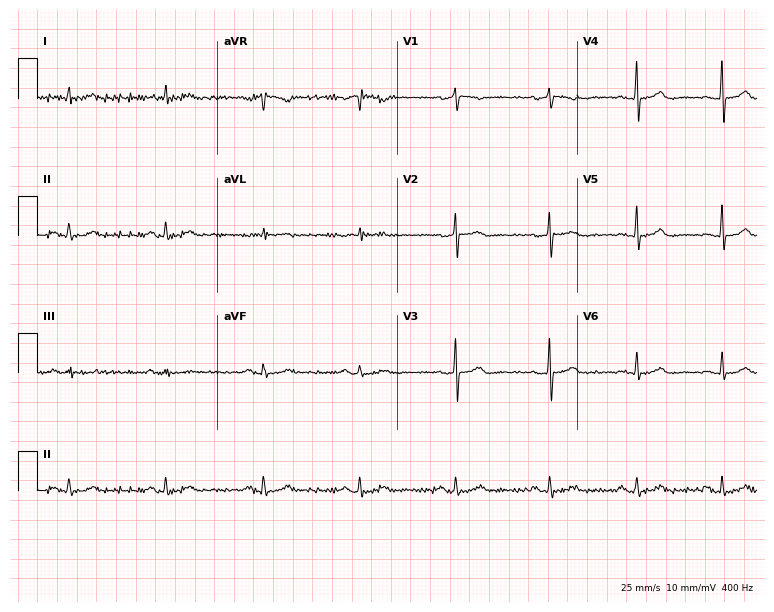
Resting 12-lead electrocardiogram. Patient: a man, 62 years old. Read as a normal ECG.